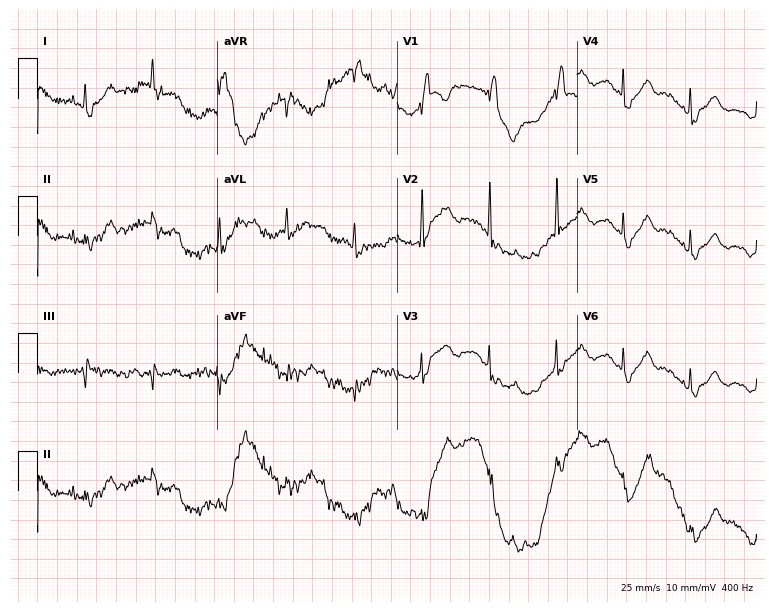
12-lead ECG (7.3-second recording at 400 Hz) from a female, 85 years old. Screened for six findings — first-degree AV block, right bundle branch block (RBBB), left bundle branch block (LBBB), sinus bradycardia, atrial fibrillation (AF), sinus tachycardia — none is recorded.